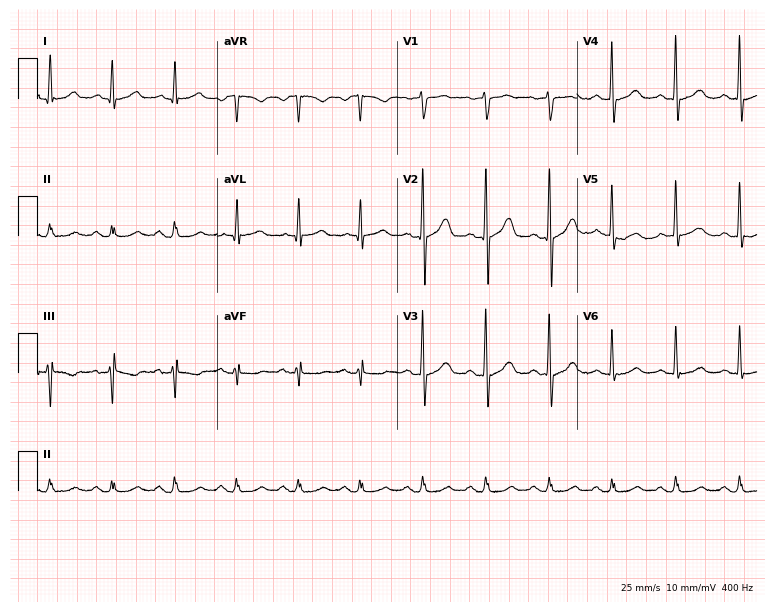
Resting 12-lead electrocardiogram (7.3-second recording at 400 Hz). Patient: a 54-year-old male. None of these six findings is recorded: first-degree AV block, right bundle branch block, left bundle branch block, sinus bradycardia, atrial fibrillation, sinus tachycardia.